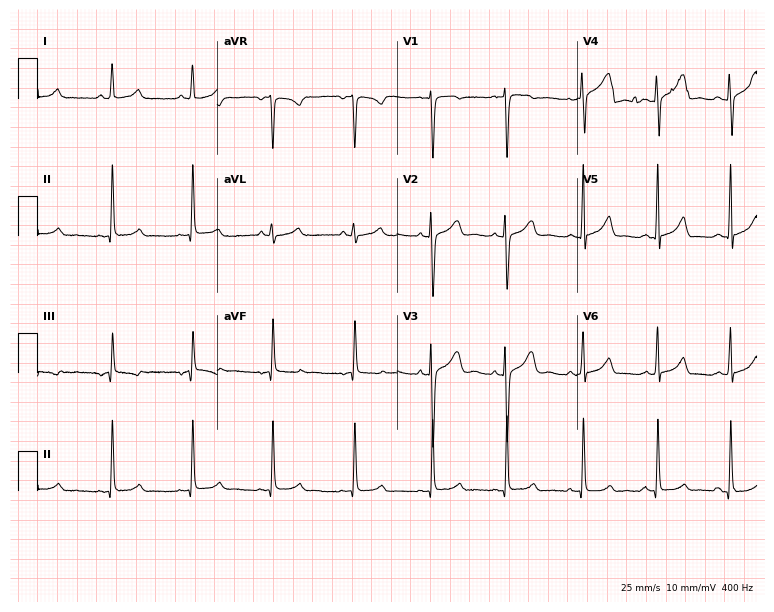
12-lead ECG from a female patient, 35 years old (7.3-second recording at 400 Hz). No first-degree AV block, right bundle branch block, left bundle branch block, sinus bradycardia, atrial fibrillation or sinus tachycardia recorded for this tracing.